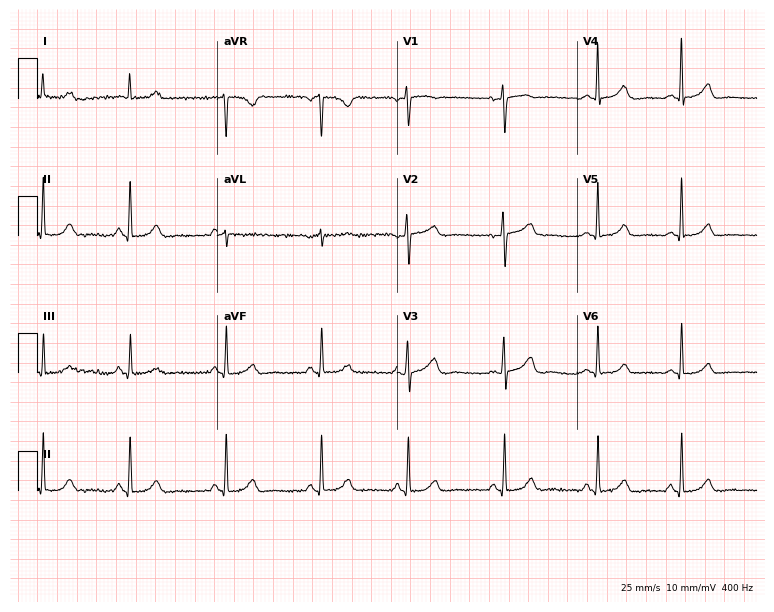
12-lead ECG from a female patient, 69 years old. Labelled as a normal ECG.